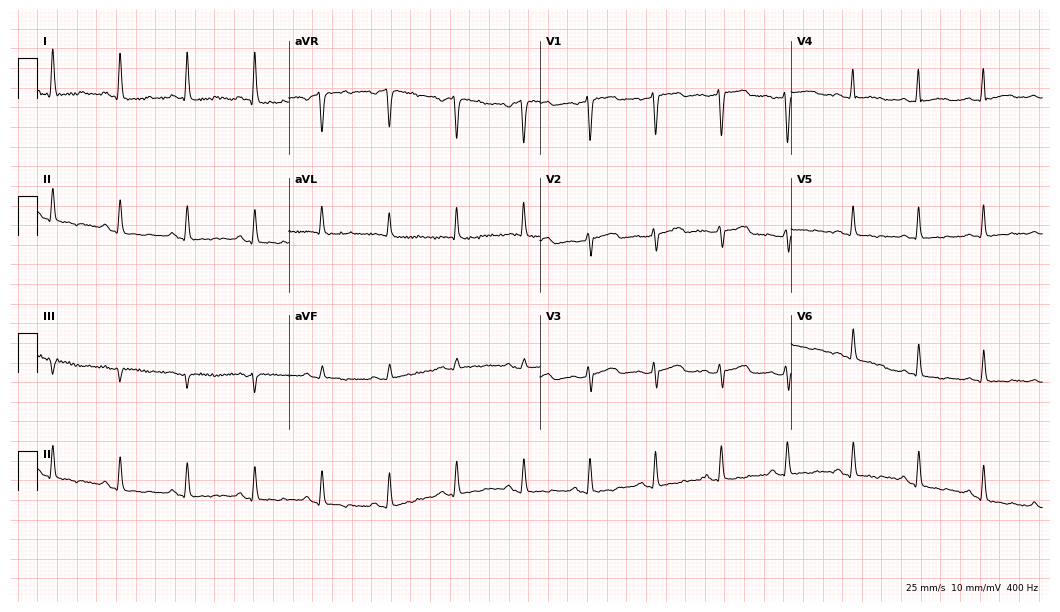
12-lead ECG from a 71-year-old female. Labelled as a normal ECG.